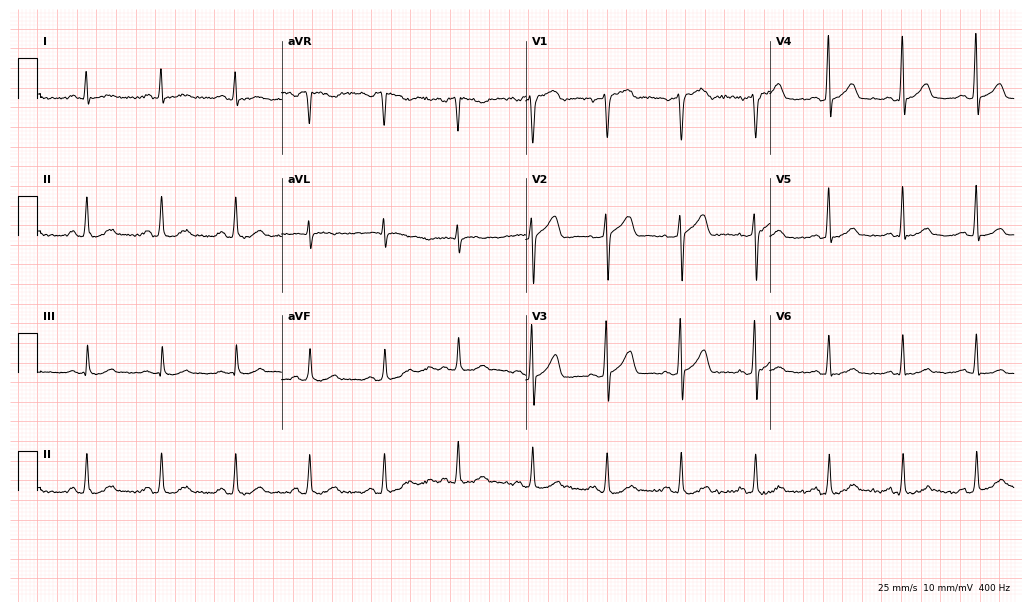
ECG — a 59-year-old male. Labelled as a normal ECG.